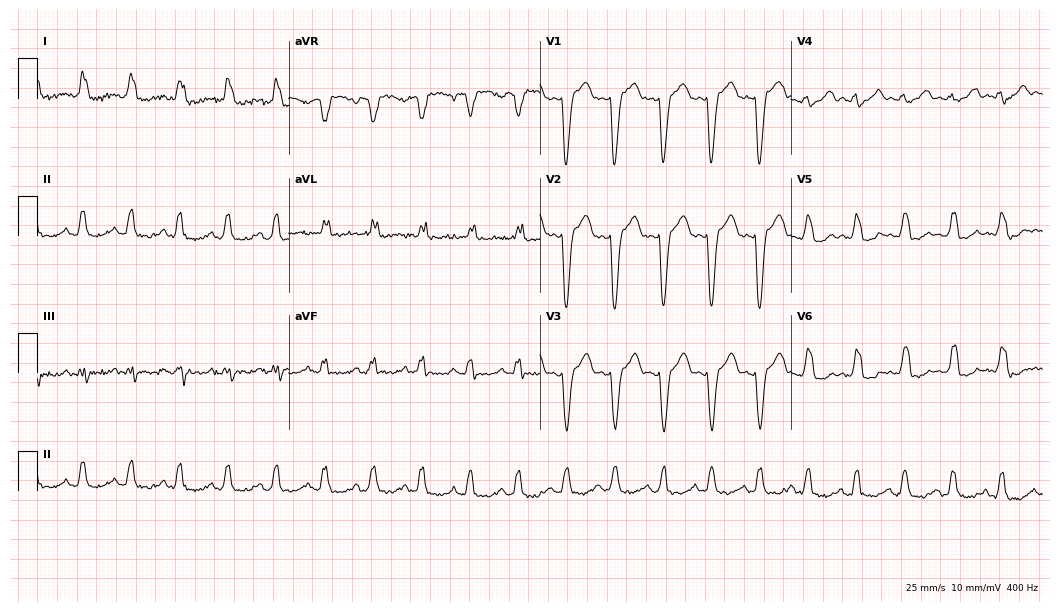
Electrocardiogram, a female patient, 52 years old. Interpretation includes left bundle branch block (LBBB), sinus tachycardia (a sinus rate of 100 beats per minute or more).